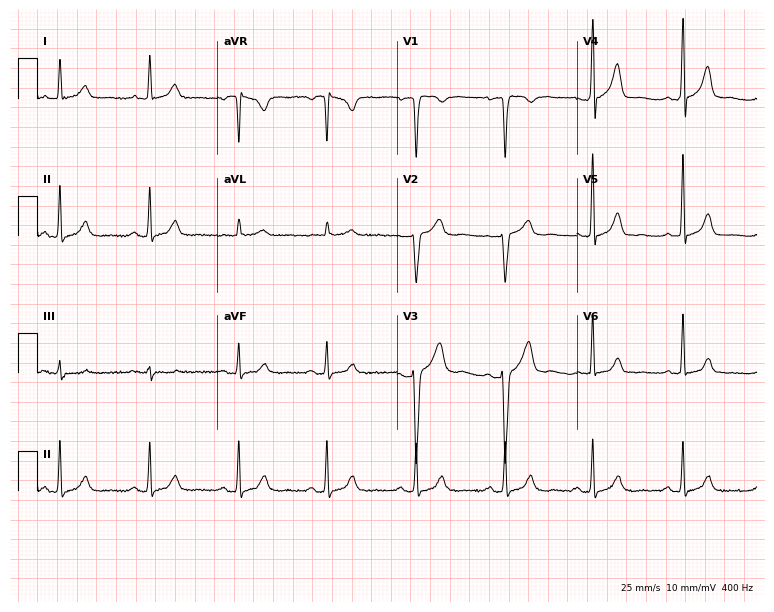
12-lead ECG from a man, 60 years old. Screened for six findings — first-degree AV block, right bundle branch block (RBBB), left bundle branch block (LBBB), sinus bradycardia, atrial fibrillation (AF), sinus tachycardia — none is recorded. Other findings, if any, are not listed.